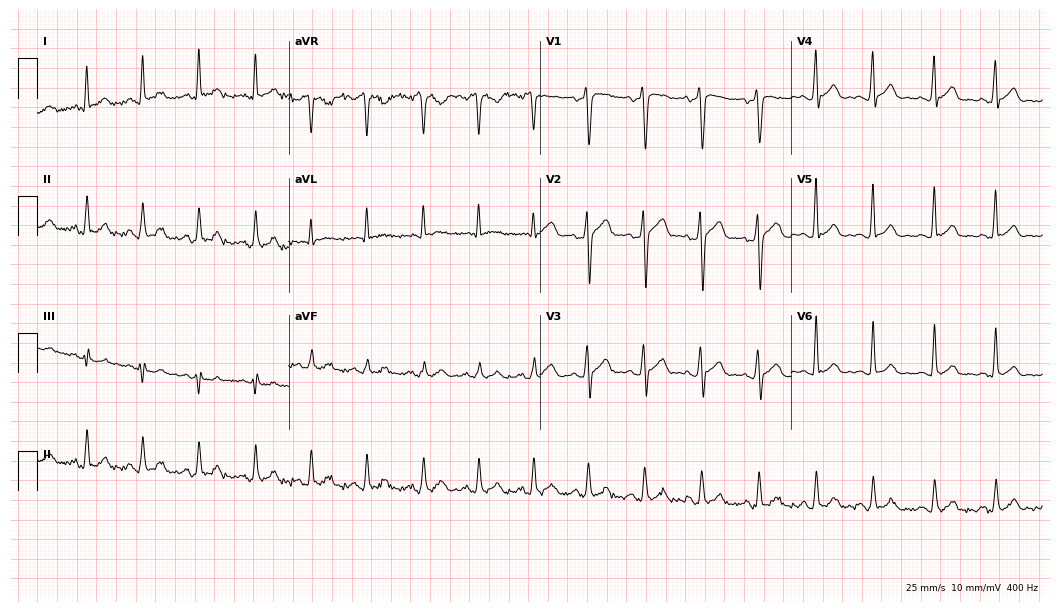
ECG (10.2-second recording at 400 Hz) — a 45-year-old male. Labelled as a normal ECG.